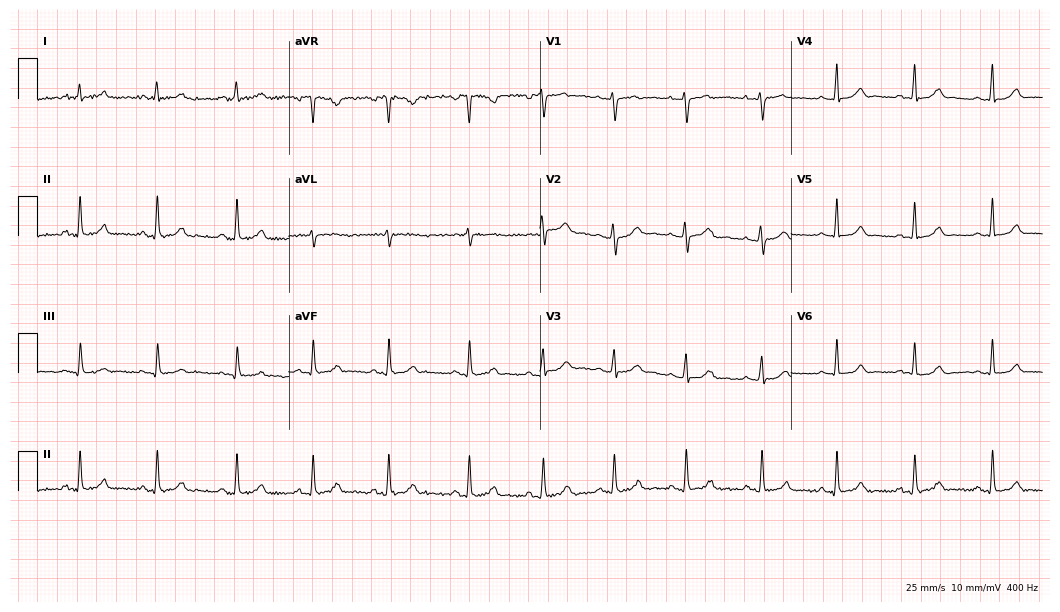
Electrocardiogram (10.2-second recording at 400 Hz), a 26-year-old woman. Overall reading on record: normal ECG.